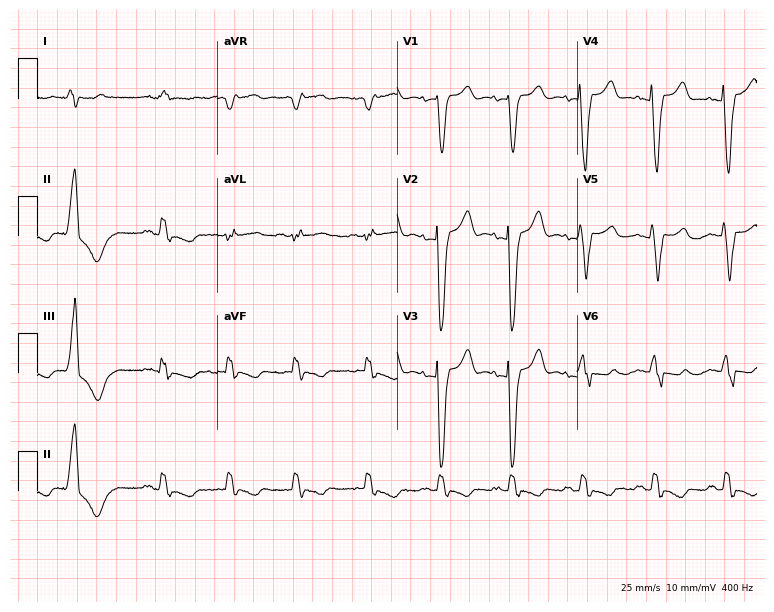
12-lead ECG from an 82-year-old female (7.3-second recording at 400 Hz). Shows left bundle branch block.